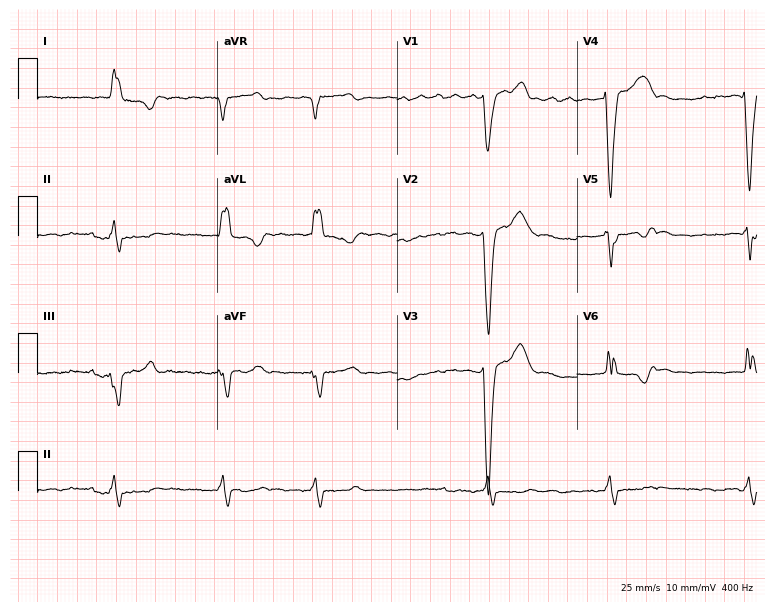
Resting 12-lead electrocardiogram. Patient: a male, 82 years old. The tracing shows left bundle branch block, atrial fibrillation.